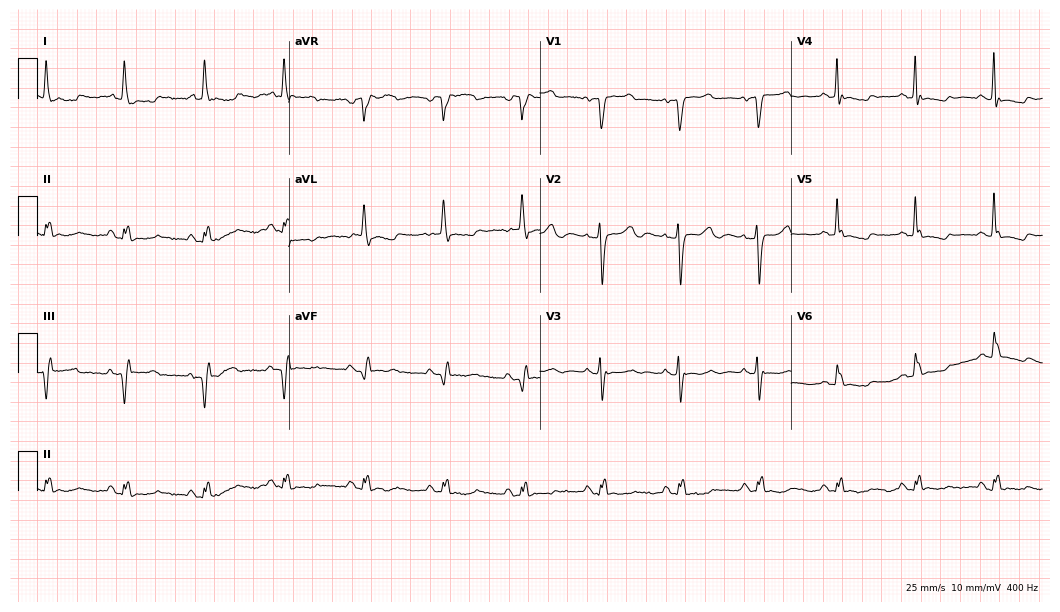
Standard 12-lead ECG recorded from an 81-year-old female patient. None of these six findings is recorded: first-degree AV block, right bundle branch block, left bundle branch block, sinus bradycardia, atrial fibrillation, sinus tachycardia. Only these six findings were labelled.